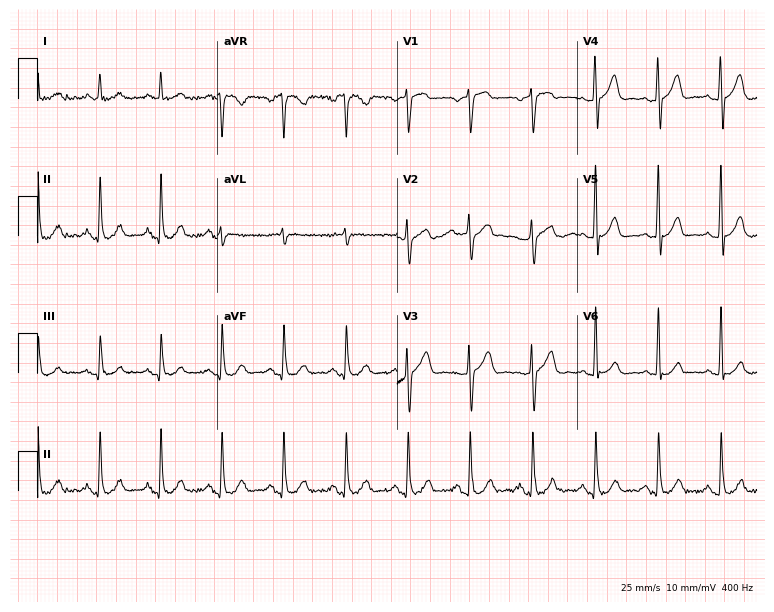
12-lead ECG from a male patient, 72 years old. Screened for six findings — first-degree AV block, right bundle branch block, left bundle branch block, sinus bradycardia, atrial fibrillation, sinus tachycardia — none is recorded.